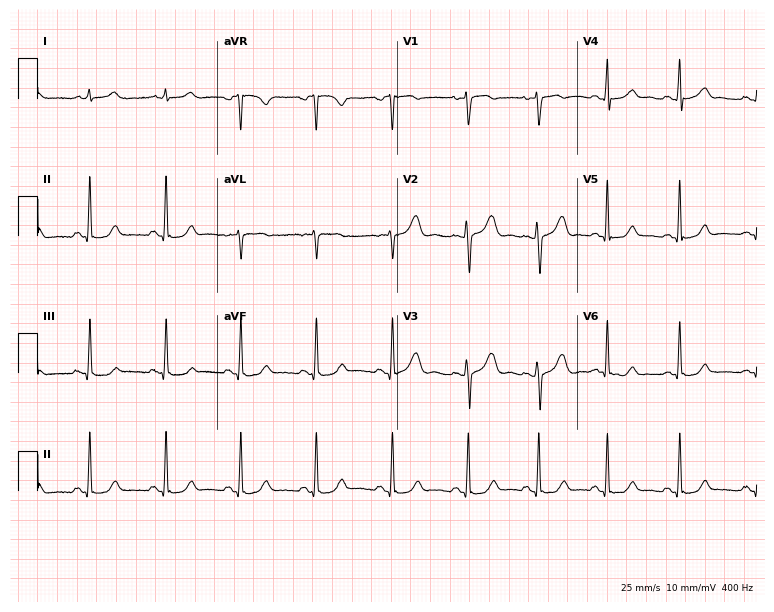
Electrocardiogram, a 42-year-old woman. Overall reading on record: normal ECG.